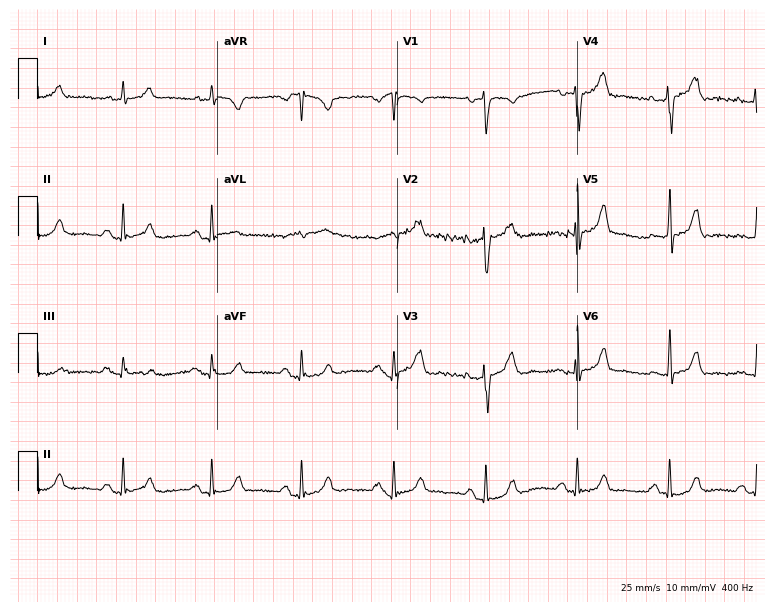
Electrocardiogram, a female, 47 years old. Overall reading on record: normal ECG.